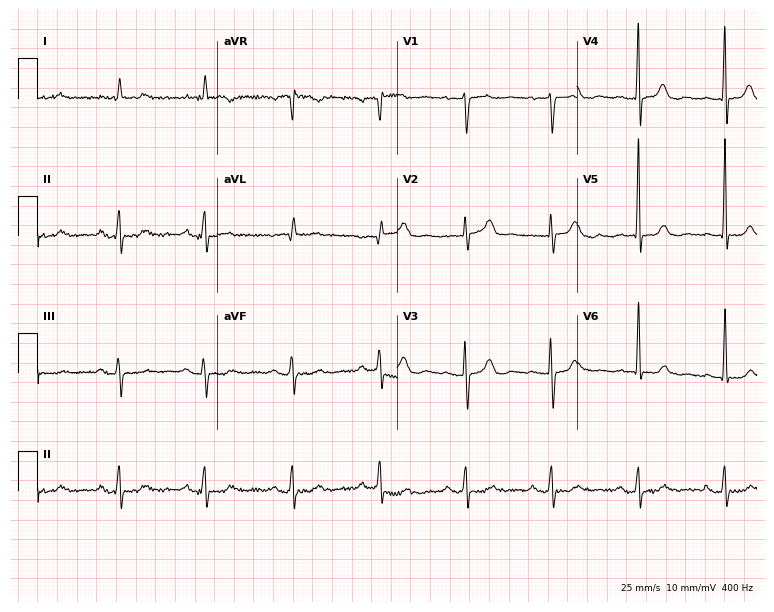
12-lead ECG from an 85-year-old male. Labelled as a normal ECG.